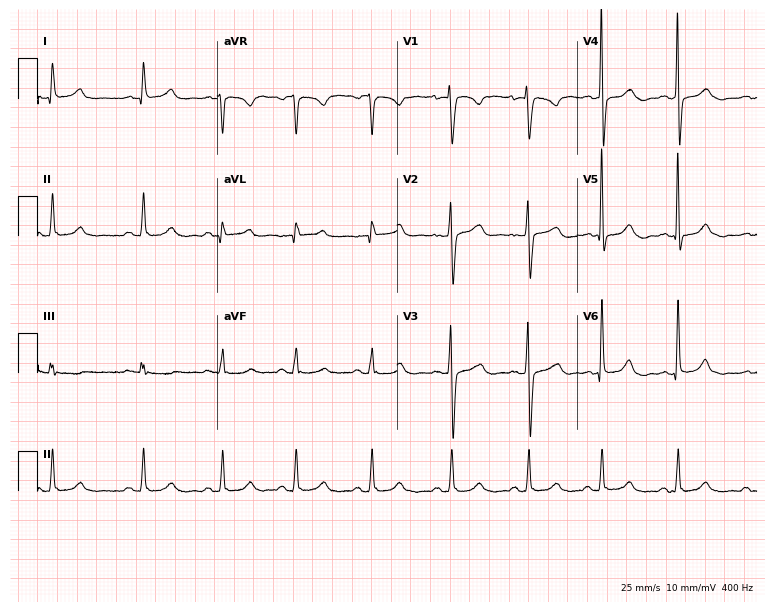
ECG — a female, 28 years old. Labelled as a normal ECG.